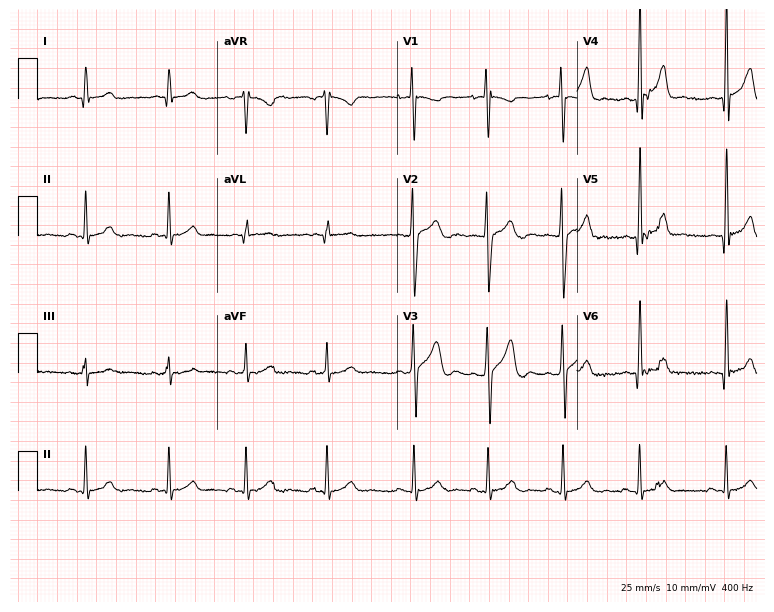
Standard 12-lead ECG recorded from a male patient, 18 years old. None of these six findings is recorded: first-degree AV block, right bundle branch block, left bundle branch block, sinus bradycardia, atrial fibrillation, sinus tachycardia. Findings outside these six are not listed.